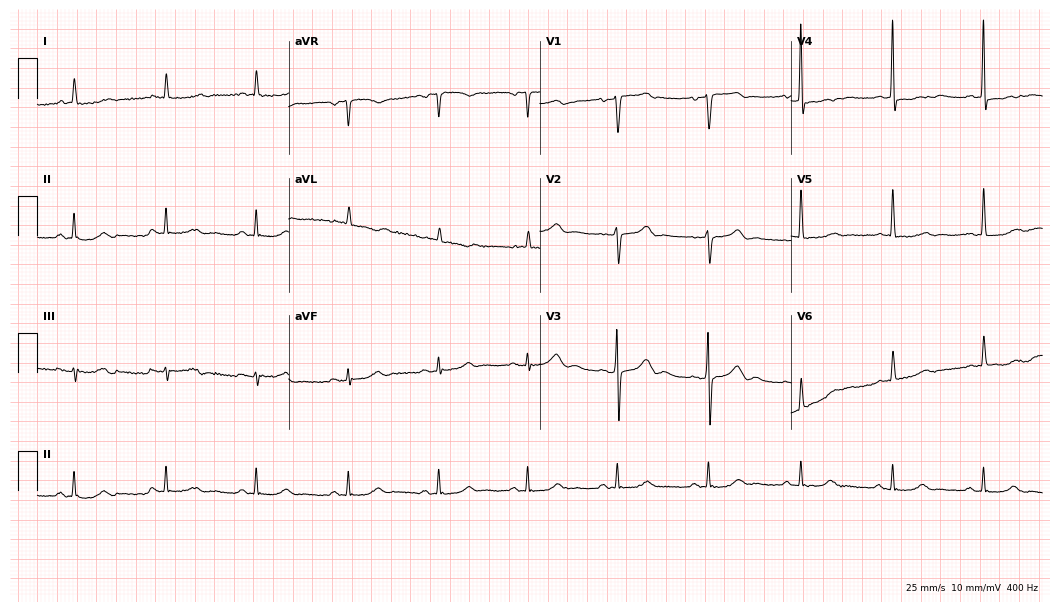
Electrocardiogram (10.2-second recording at 400 Hz), a 73-year-old female patient. Overall reading on record: normal ECG.